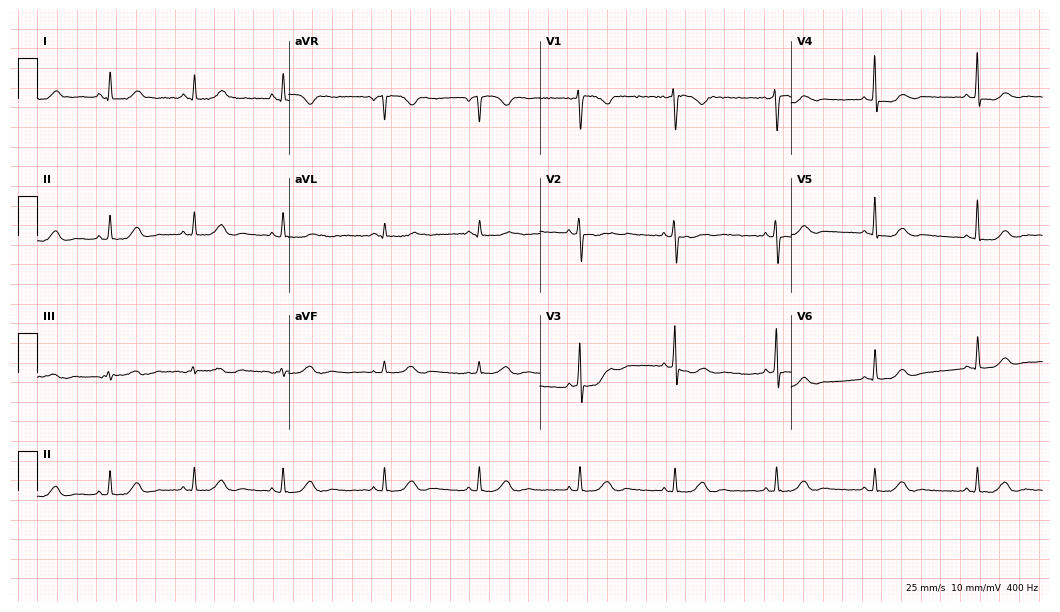
Resting 12-lead electrocardiogram (10.2-second recording at 400 Hz). Patient: a female, 34 years old. Read as a normal ECG.